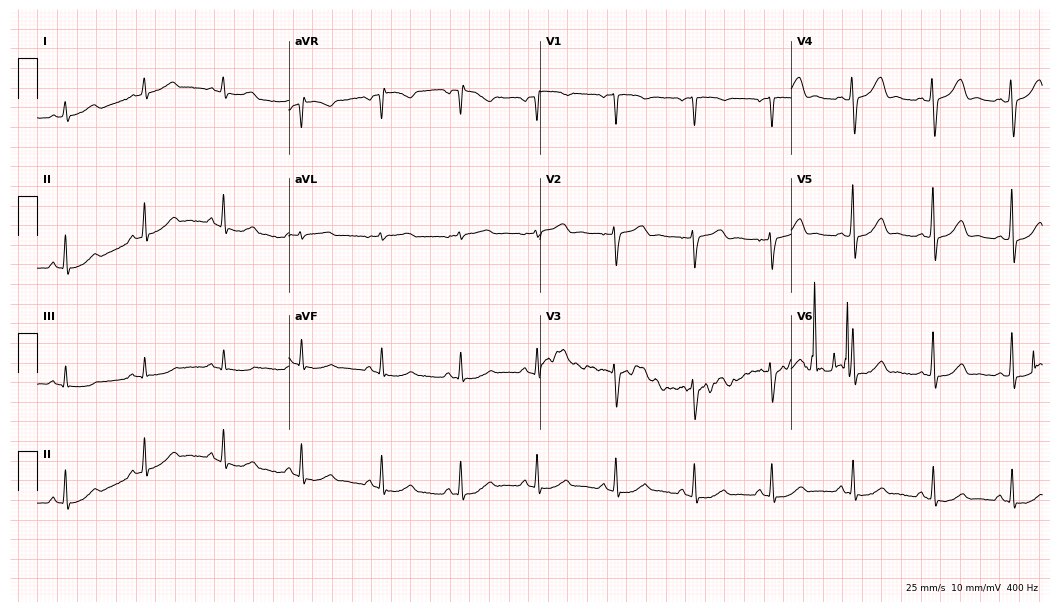
12-lead ECG from a female, 51 years old. Recorded interpretation: within normal limits.